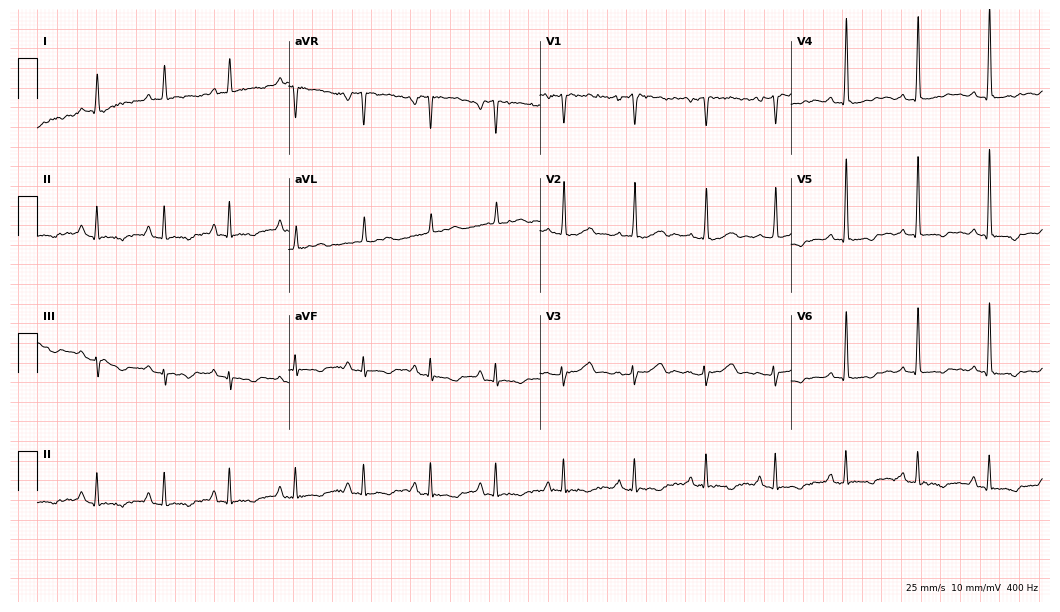
12-lead ECG from a woman, 58 years old. Screened for six findings — first-degree AV block, right bundle branch block (RBBB), left bundle branch block (LBBB), sinus bradycardia, atrial fibrillation (AF), sinus tachycardia — none is recorded.